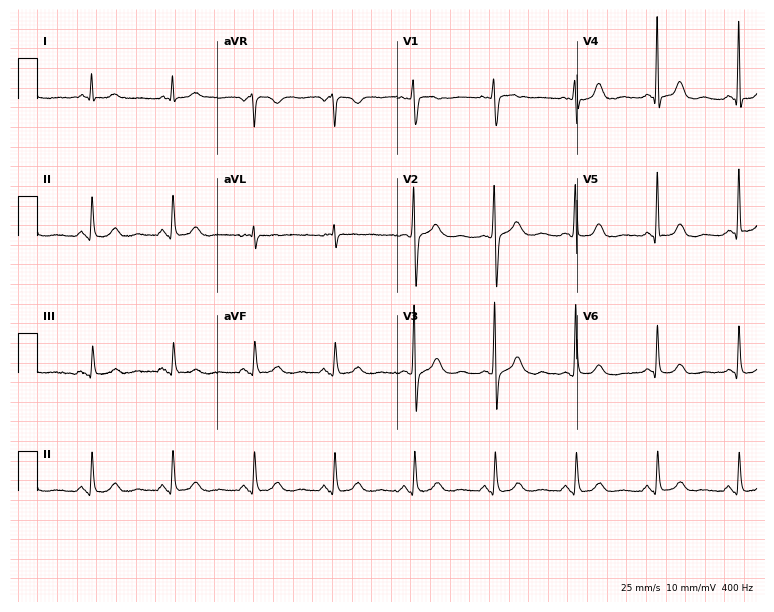
ECG — a 73-year-old woman. Screened for six findings — first-degree AV block, right bundle branch block, left bundle branch block, sinus bradycardia, atrial fibrillation, sinus tachycardia — none is recorded.